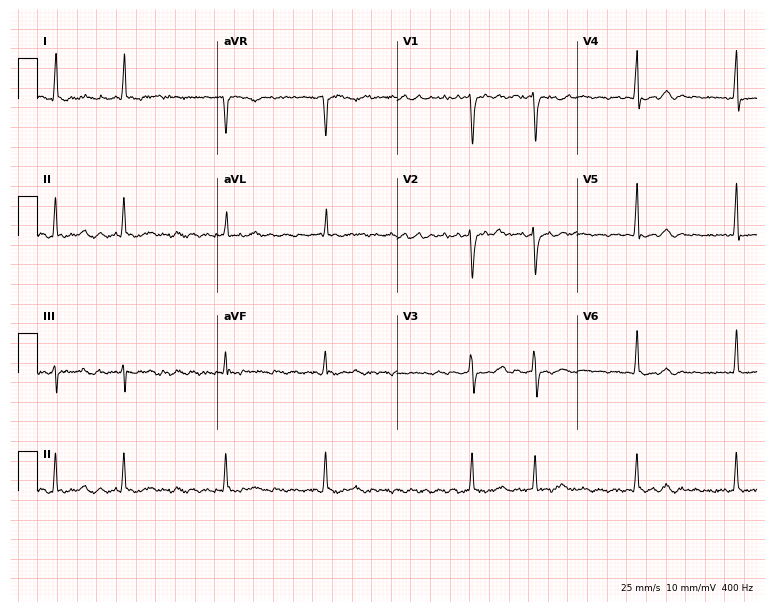
12-lead ECG from a female patient, 47 years old. Shows atrial fibrillation.